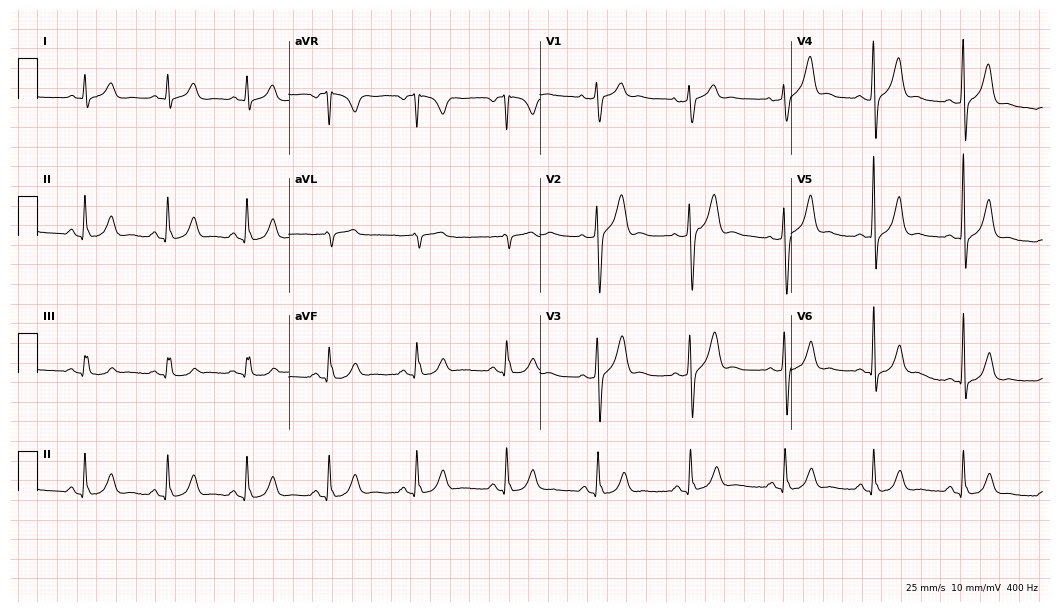
ECG (10.2-second recording at 400 Hz) — a man, 47 years old. Labelled as a normal ECG.